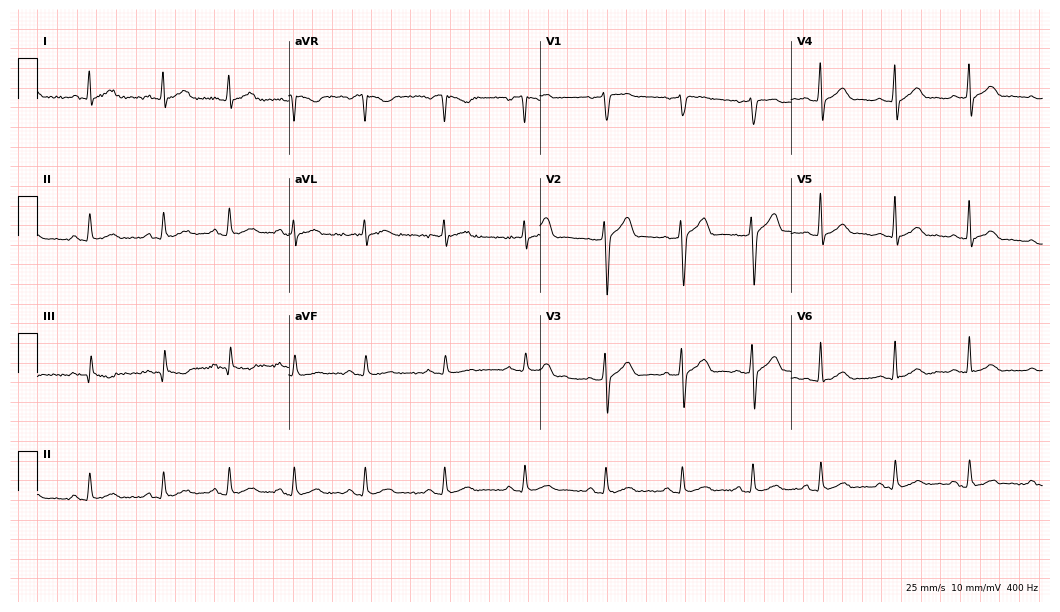
Resting 12-lead electrocardiogram (10.2-second recording at 400 Hz). Patient: a man, 37 years old. Read as a normal ECG.